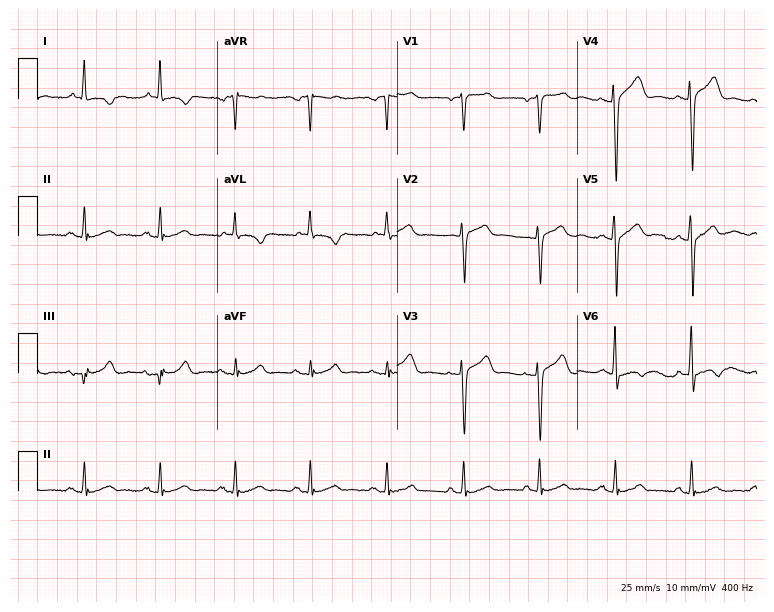
12-lead ECG from a 58-year-old male patient (7.3-second recording at 400 Hz). No first-degree AV block, right bundle branch block (RBBB), left bundle branch block (LBBB), sinus bradycardia, atrial fibrillation (AF) or sinus tachycardia recorded for this tracing. Only these six findings were labelled.